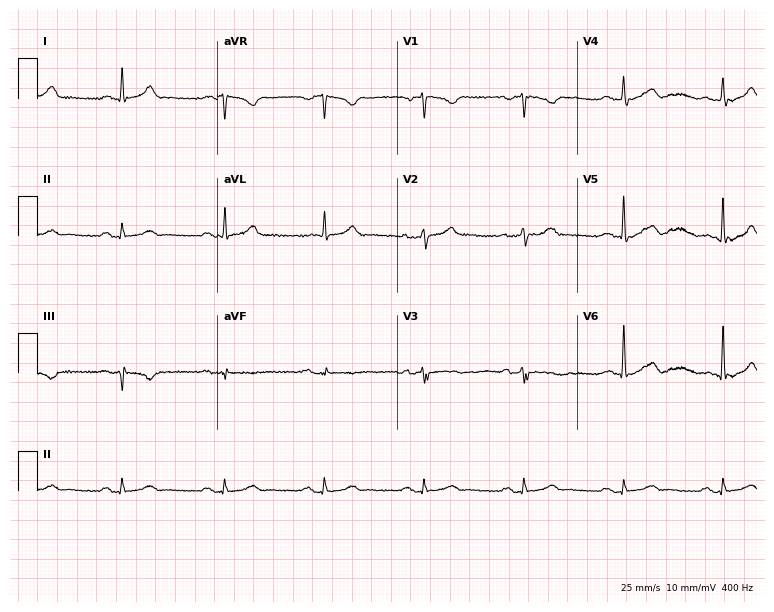
12-lead ECG from a male patient, 73 years old. Labelled as a normal ECG.